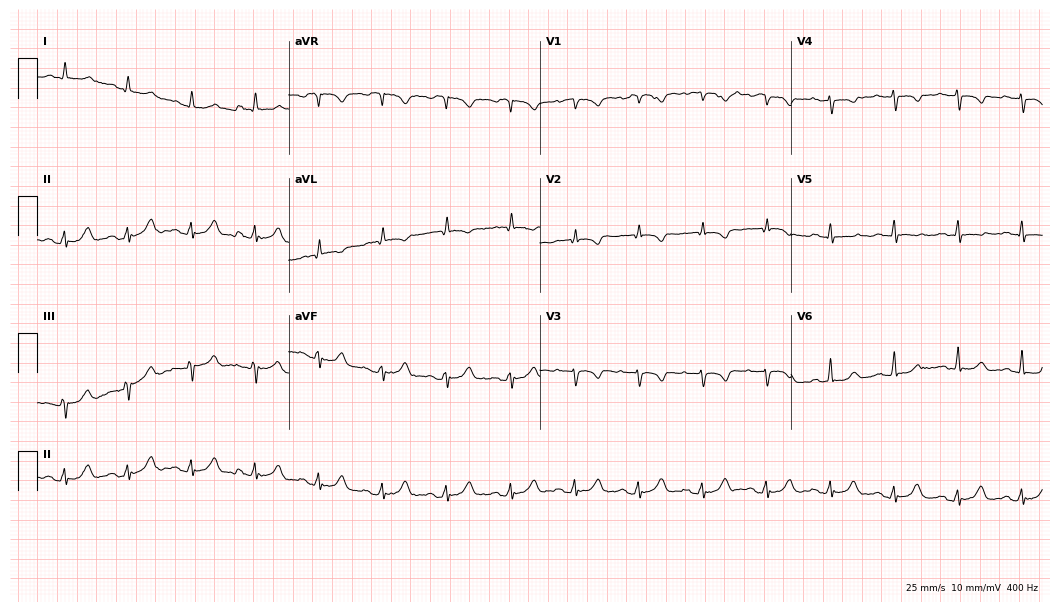
Resting 12-lead electrocardiogram. Patient: an 85-year-old male. None of these six findings is recorded: first-degree AV block, right bundle branch block, left bundle branch block, sinus bradycardia, atrial fibrillation, sinus tachycardia.